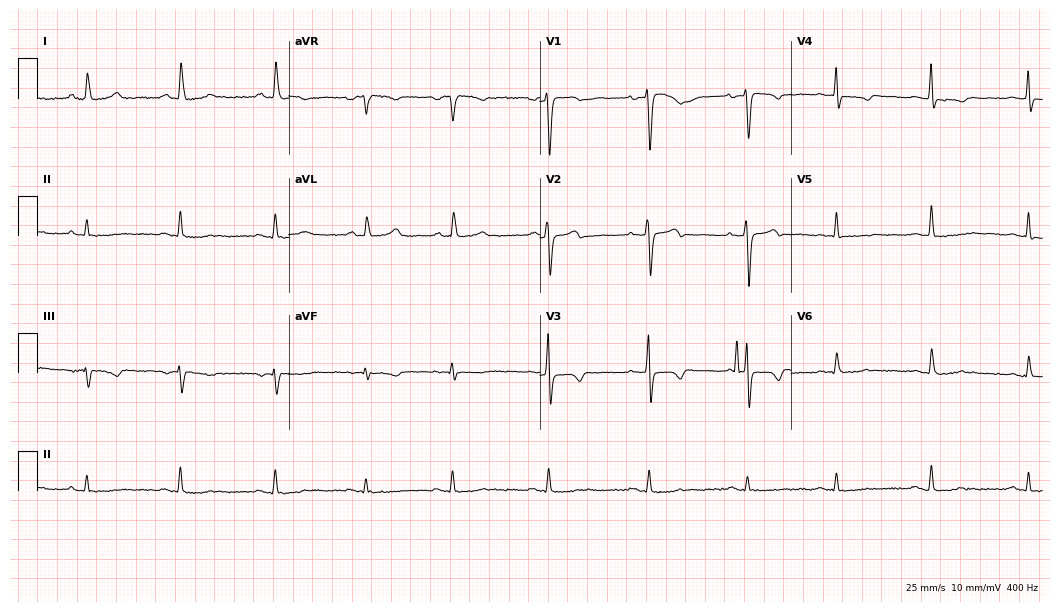
ECG (10.2-second recording at 400 Hz) — a female patient, 36 years old. Screened for six findings — first-degree AV block, right bundle branch block, left bundle branch block, sinus bradycardia, atrial fibrillation, sinus tachycardia — none is recorded. Only these six findings were labelled.